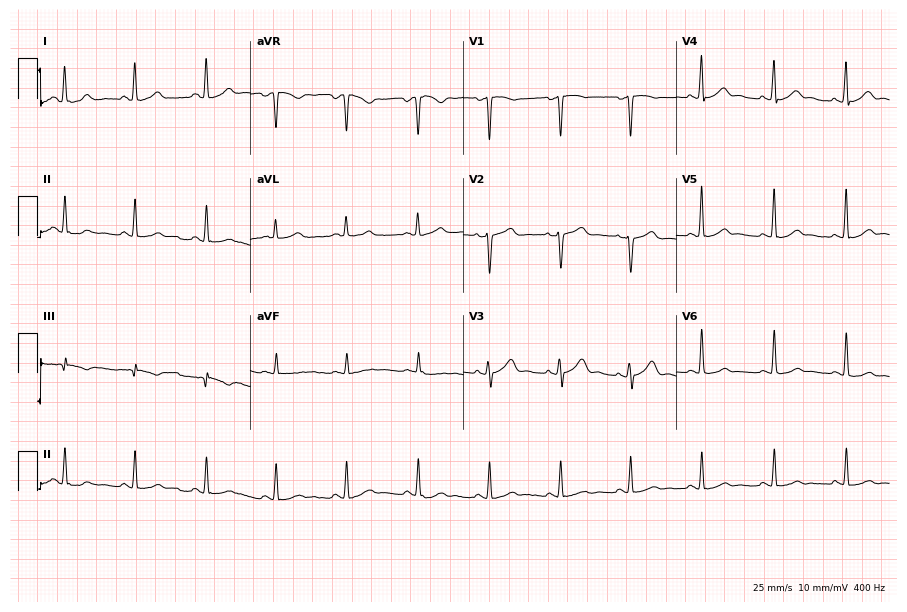
12-lead ECG from a female, 30 years old. Recorded interpretation: within normal limits.